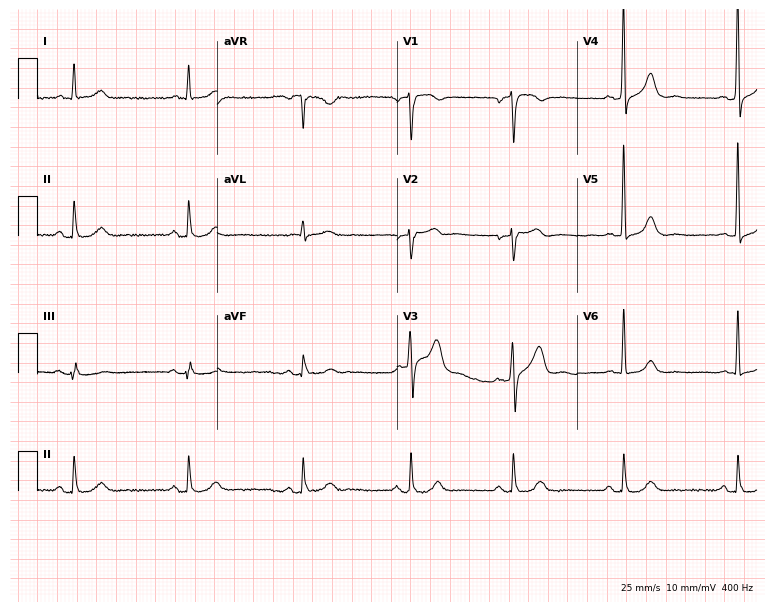
Standard 12-lead ECG recorded from a male, 62 years old. Read as a normal ECG.